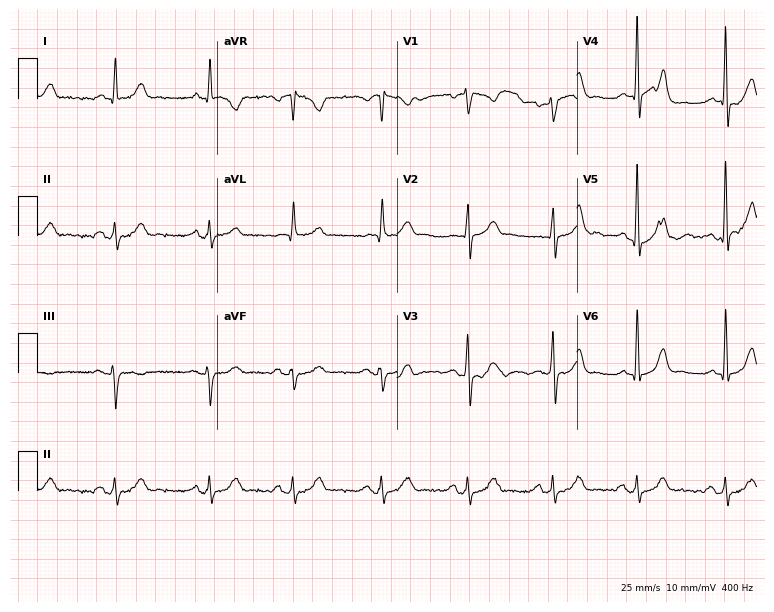
12-lead ECG (7.3-second recording at 400 Hz) from a 68-year-old male. Labelled as a normal ECG.